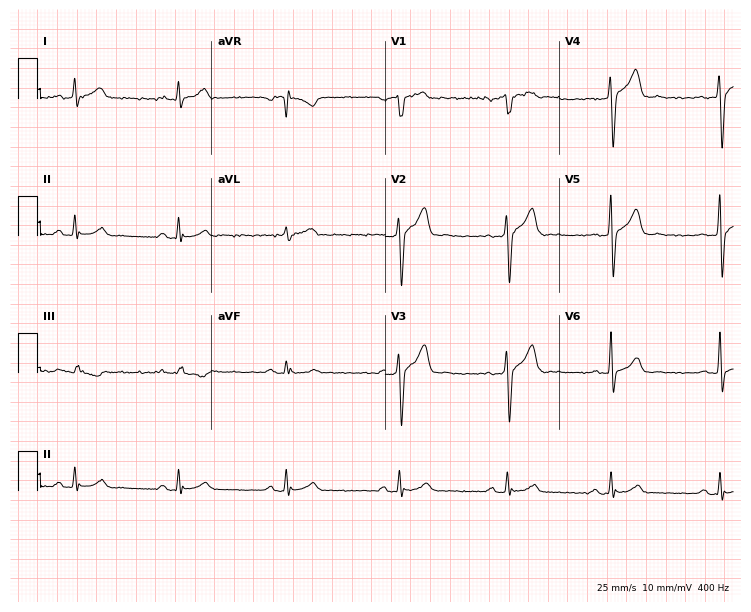
Standard 12-lead ECG recorded from a man, 57 years old. Read as a normal ECG.